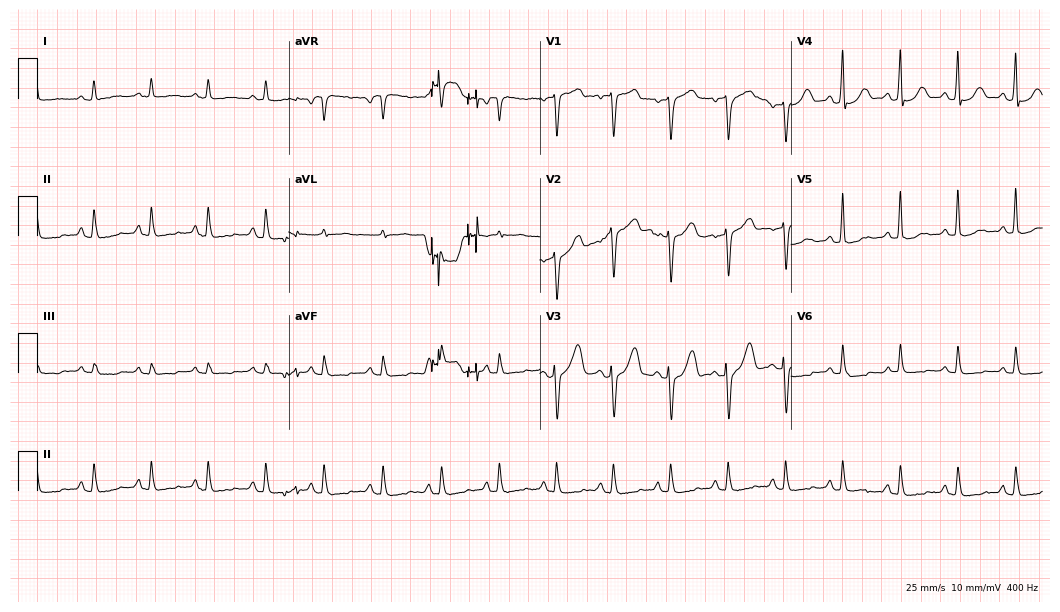
12-lead ECG from a 53-year-old female. Screened for six findings — first-degree AV block, right bundle branch block (RBBB), left bundle branch block (LBBB), sinus bradycardia, atrial fibrillation (AF), sinus tachycardia — none is recorded. Other findings, if any, are not listed.